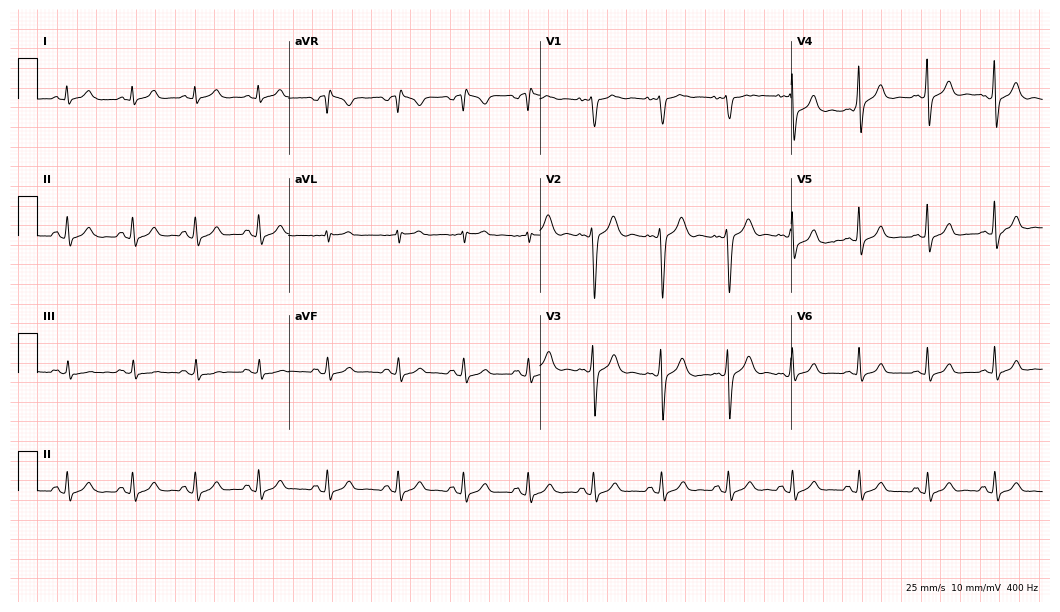
Electrocardiogram, a woman, 25 years old. Of the six screened findings (first-degree AV block, right bundle branch block, left bundle branch block, sinus bradycardia, atrial fibrillation, sinus tachycardia), none is recorded.